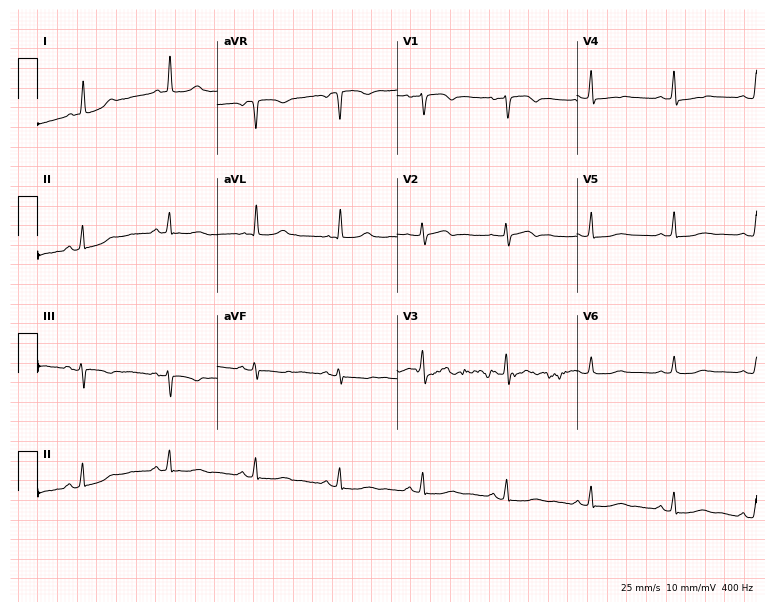
Electrocardiogram, a female, 65 years old. Of the six screened findings (first-degree AV block, right bundle branch block, left bundle branch block, sinus bradycardia, atrial fibrillation, sinus tachycardia), none is recorded.